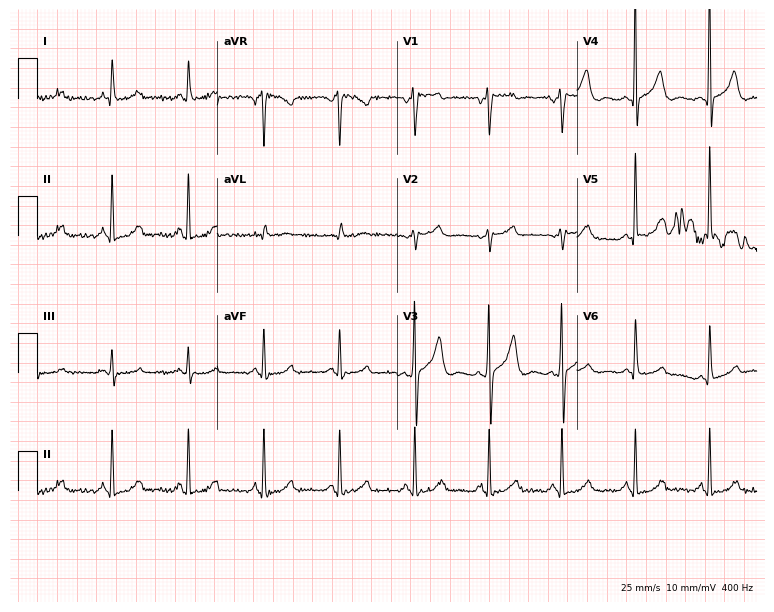
Electrocardiogram, an 81-year-old woman. Overall reading on record: normal ECG.